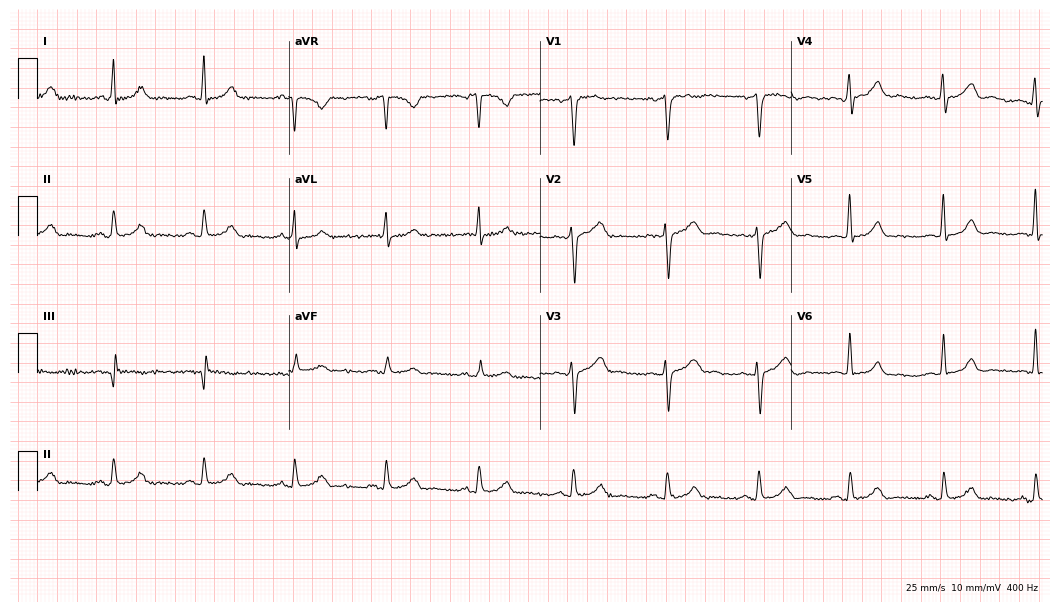
12-lead ECG from a 32-year-old man. Labelled as a normal ECG.